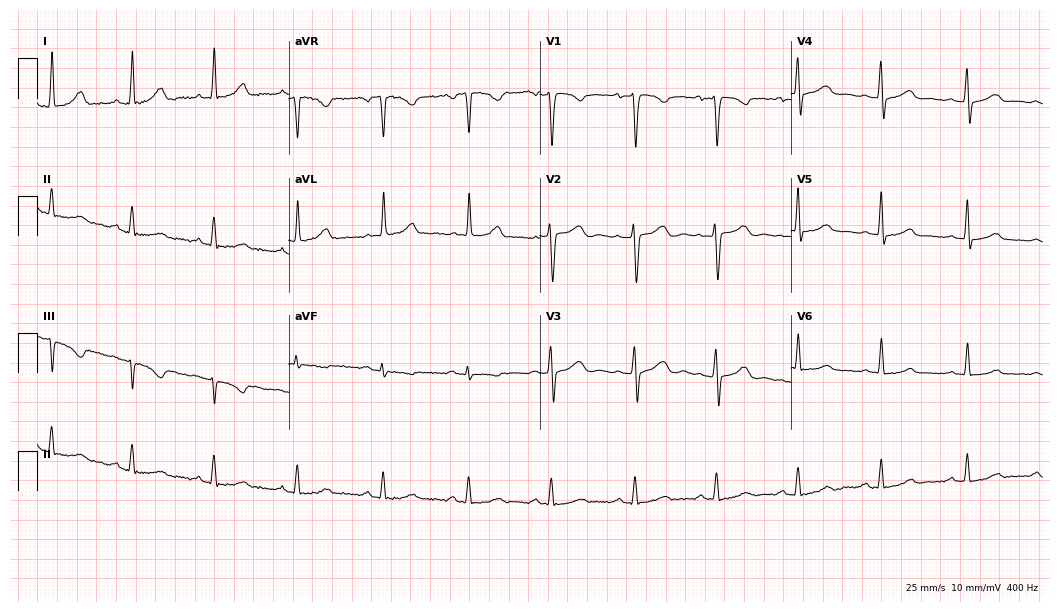
12-lead ECG (10.2-second recording at 400 Hz) from a 49-year-old female patient. Screened for six findings — first-degree AV block, right bundle branch block (RBBB), left bundle branch block (LBBB), sinus bradycardia, atrial fibrillation (AF), sinus tachycardia — none is recorded. Findings outside these six are not listed.